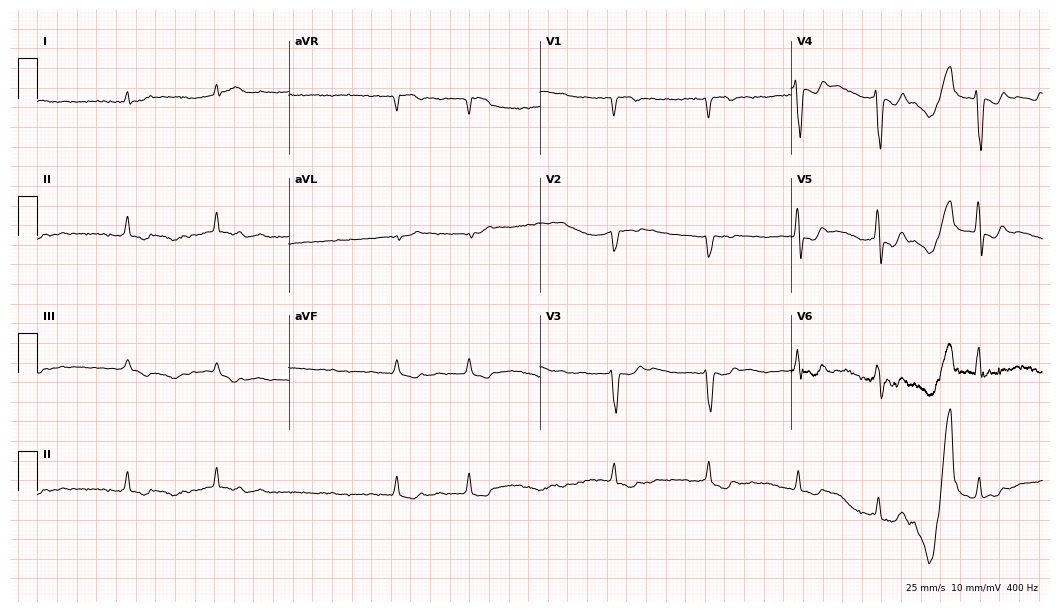
12-lead ECG from a male, 85 years old (10.2-second recording at 400 Hz). Shows atrial fibrillation (AF).